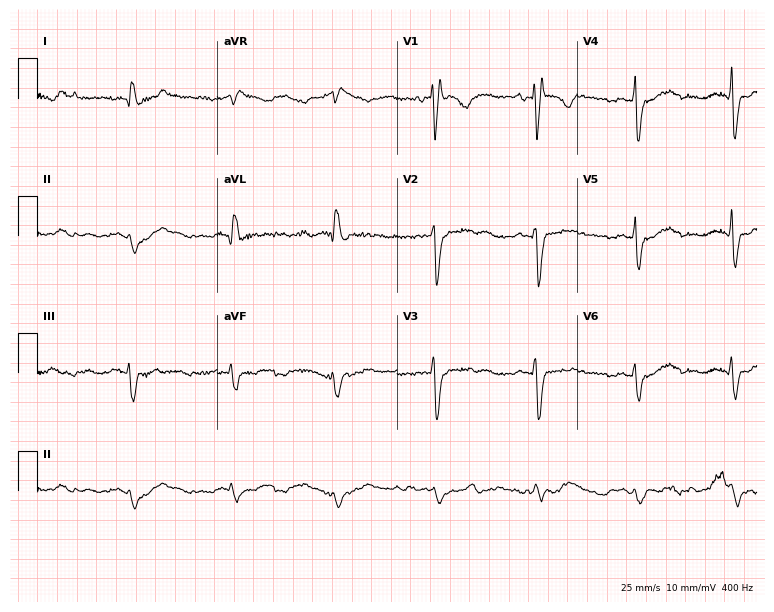
Standard 12-lead ECG recorded from a female patient, 84 years old. None of these six findings is recorded: first-degree AV block, right bundle branch block, left bundle branch block, sinus bradycardia, atrial fibrillation, sinus tachycardia.